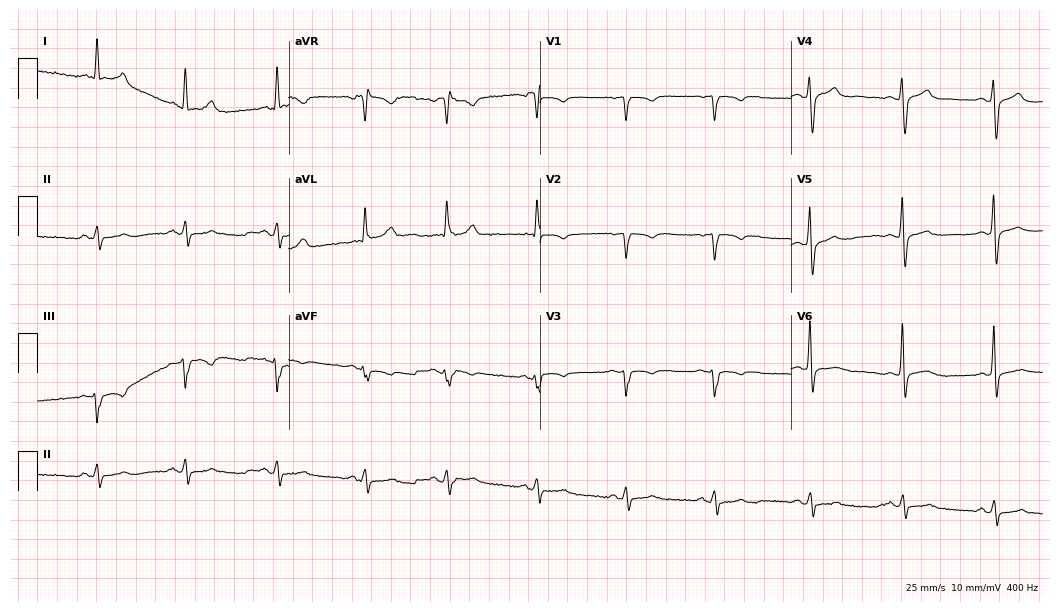
Resting 12-lead electrocardiogram (10.2-second recording at 400 Hz). Patient: a 49-year-old male. None of these six findings is recorded: first-degree AV block, right bundle branch block, left bundle branch block, sinus bradycardia, atrial fibrillation, sinus tachycardia.